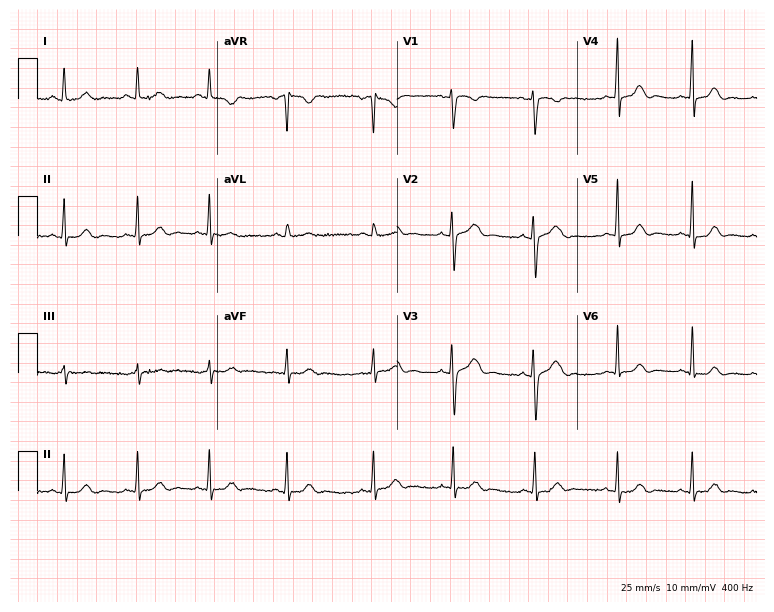
12-lead ECG from a female, 17 years old (7.3-second recording at 400 Hz). Recorded interpretation: within normal limits.